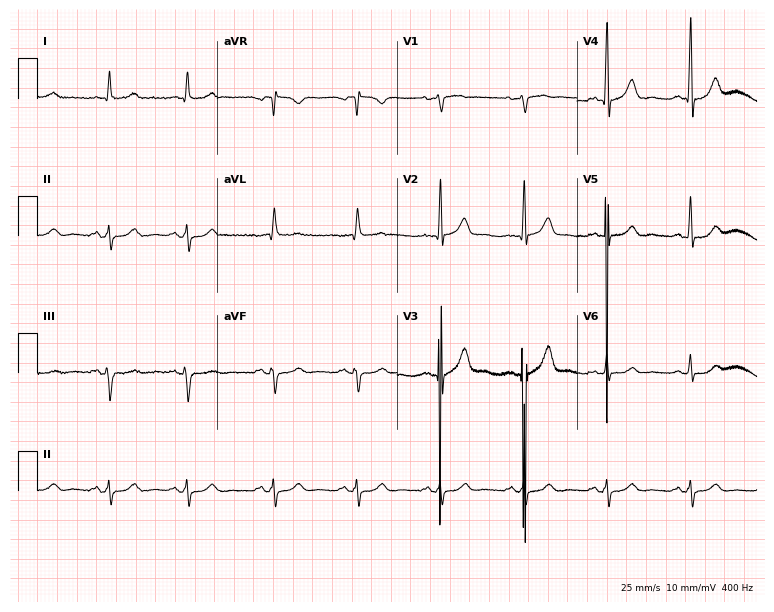
12-lead ECG (7.3-second recording at 400 Hz) from a 78-year-old male patient. Labelled as a normal ECG.